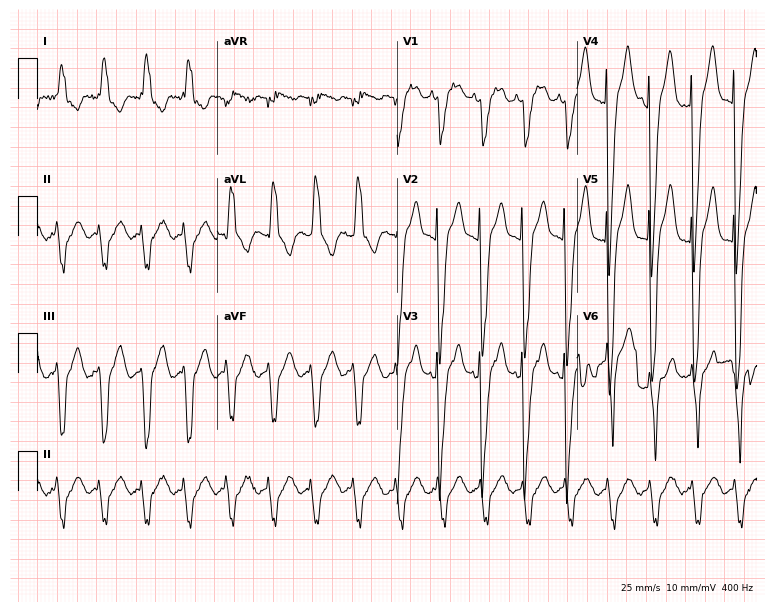
12-lead ECG from a 79-year-old male patient (7.3-second recording at 400 Hz). Shows left bundle branch block (LBBB).